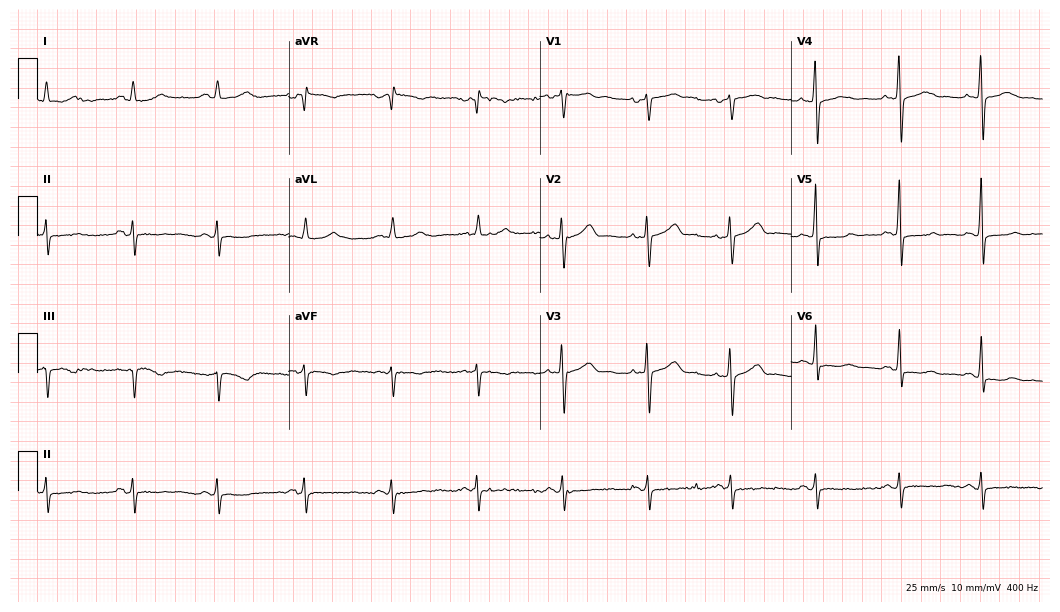
Electrocardiogram, a woman, 33 years old. Of the six screened findings (first-degree AV block, right bundle branch block, left bundle branch block, sinus bradycardia, atrial fibrillation, sinus tachycardia), none is recorded. Other findings, if any, are not listed.